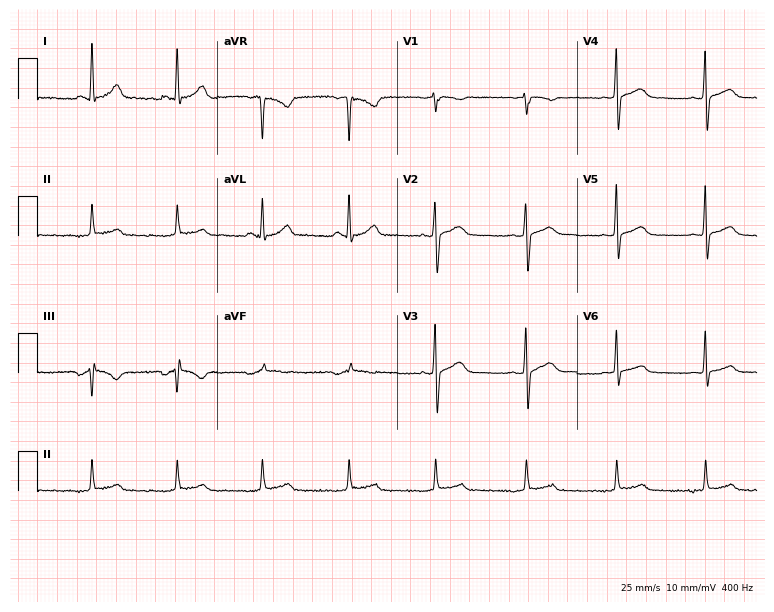
12-lead ECG from a male patient, 30 years old. No first-degree AV block, right bundle branch block, left bundle branch block, sinus bradycardia, atrial fibrillation or sinus tachycardia recorded for this tracing. Findings outside these six are not listed.